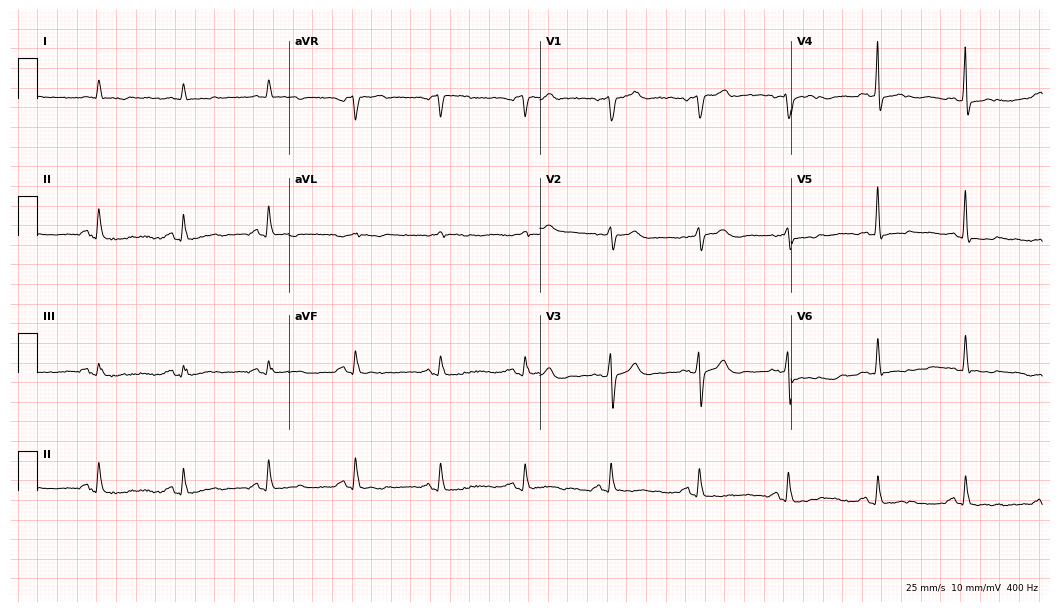
Standard 12-lead ECG recorded from a male patient, 65 years old. None of these six findings is recorded: first-degree AV block, right bundle branch block, left bundle branch block, sinus bradycardia, atrial fibrillation, sinus tachycardia.